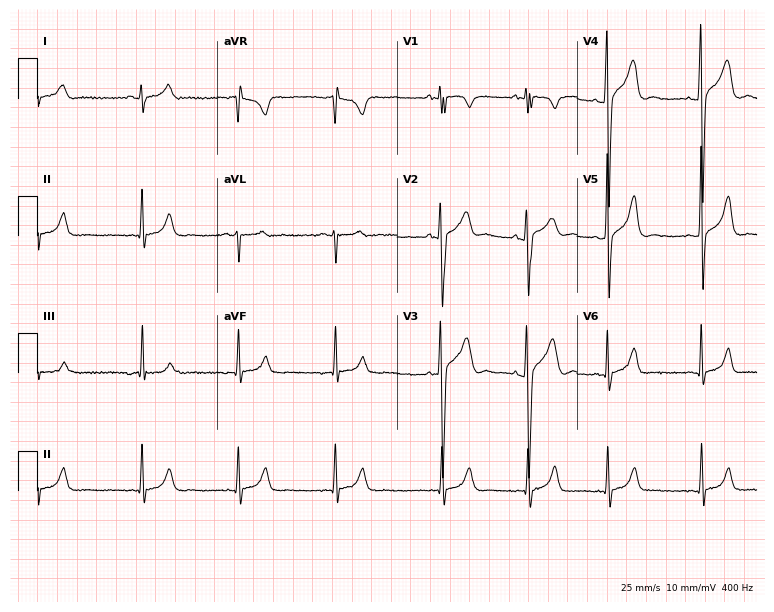
Standard 12-lead ECG recorded from a 24-year-old male patient. None of these six findings is recorded: first-degree AV block, right bundle branch block, left bundle branch block, sinus bradycardia, atrial fibrillation, sinus tachycardia.